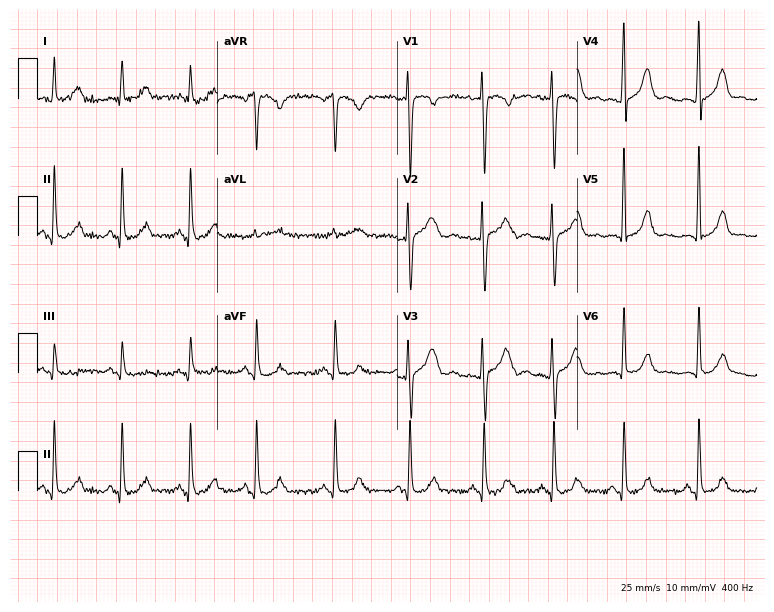
Resting 12-lead electrocardiogram. Patient: a 29-year-old female. None of these six findings is recorded: first-degree AV block, right bundle branch block, left bundle branch block, sinus bradycardia, atrial fibrillation, sinus tachycardia. Findings outside these six are not listed.